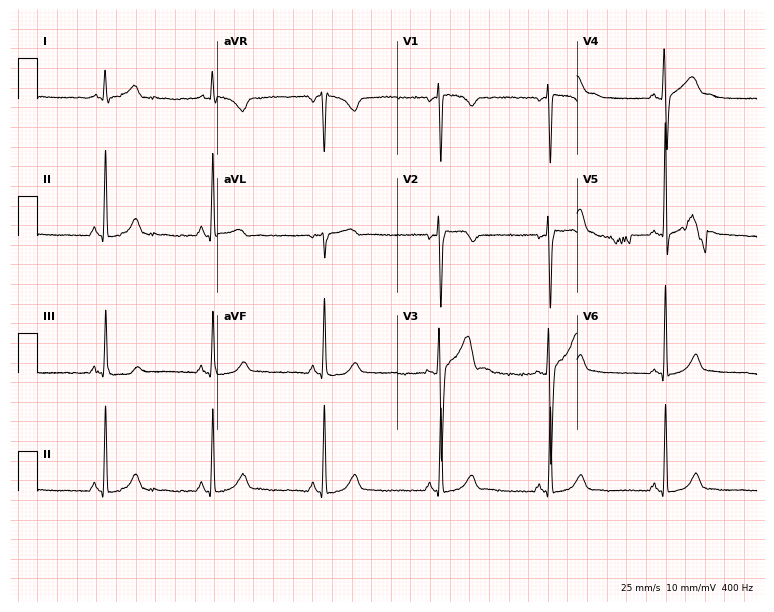
ECG — a 20-year-old male. Labelled as a normal ECG.